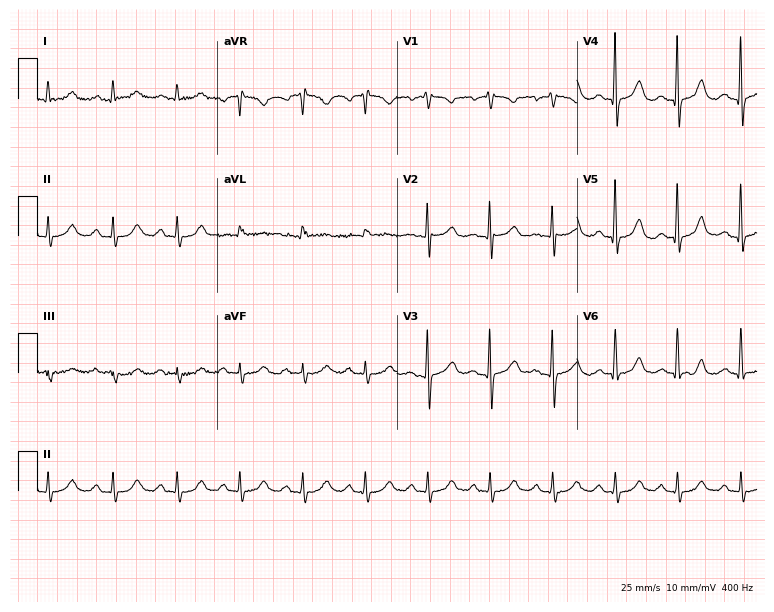
ECG (7.3-second recording at 400 Hz) — a man, 76 years old. Screened for six findings — first-degree AV block, right bundle branch block, left bundle branch block, sinus bradycardia, atrial fibrillation, sinus tachycardia — none is recorded. Other findings, if any, are not listed.